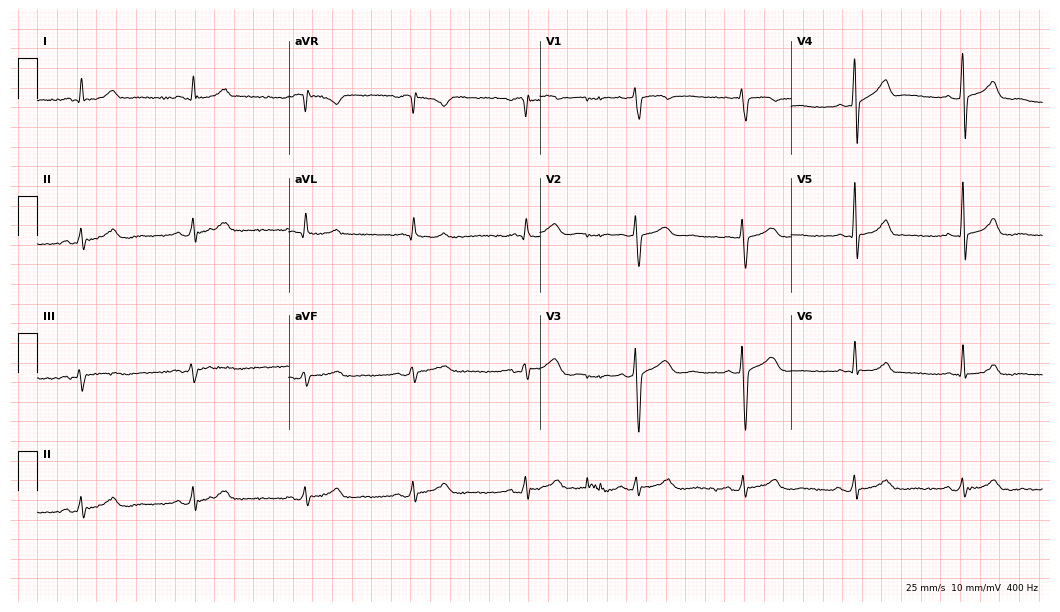
Resting 12-lead electrocardiogram. Patient: a male, 53 years old. Read as a normal ECG.